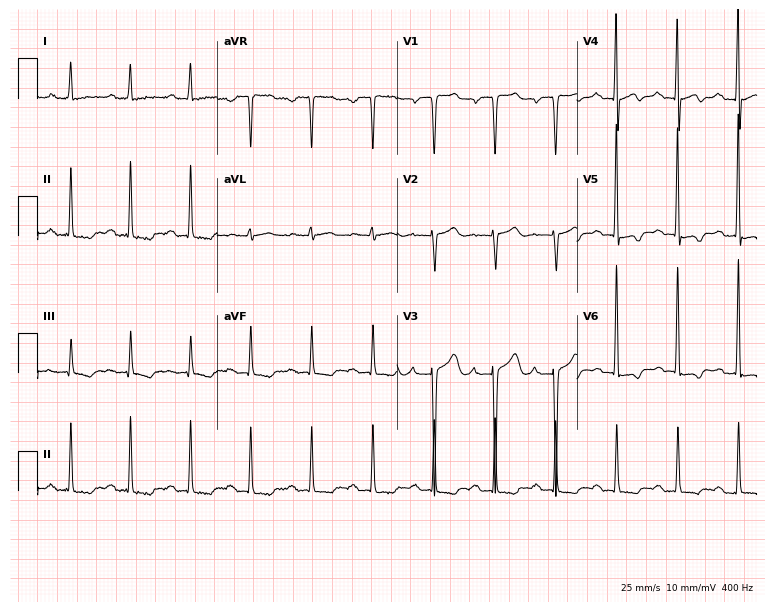
12-lead ECG from a 63-year-old woman (7.3-second recording at 400 Hz). No first-degree AV block, right bundle branch block, left bundle branch block, sinus bradycardia, atrial fibrillation or sinus tachycardia recorded for this tracing.